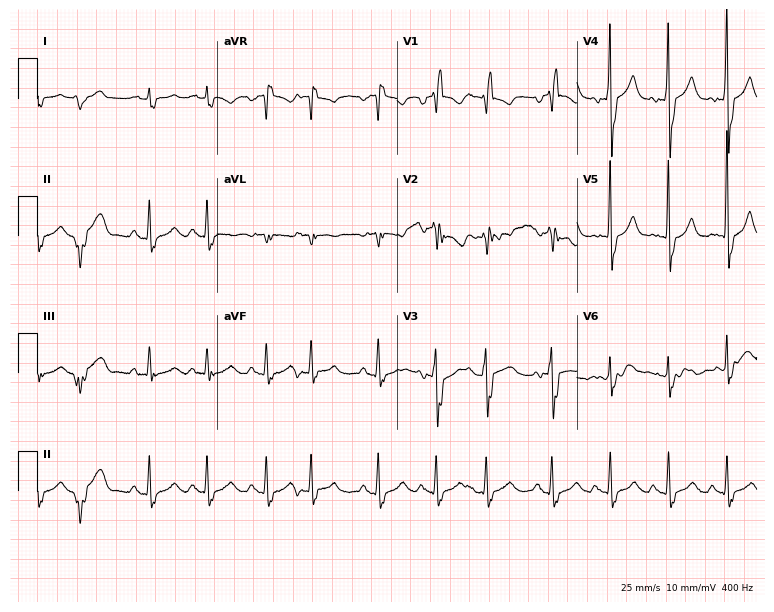
12-lead ECG (7.3-second recording at 400 Hz) from a male, 76 years old. Findings include right bundle branch block.